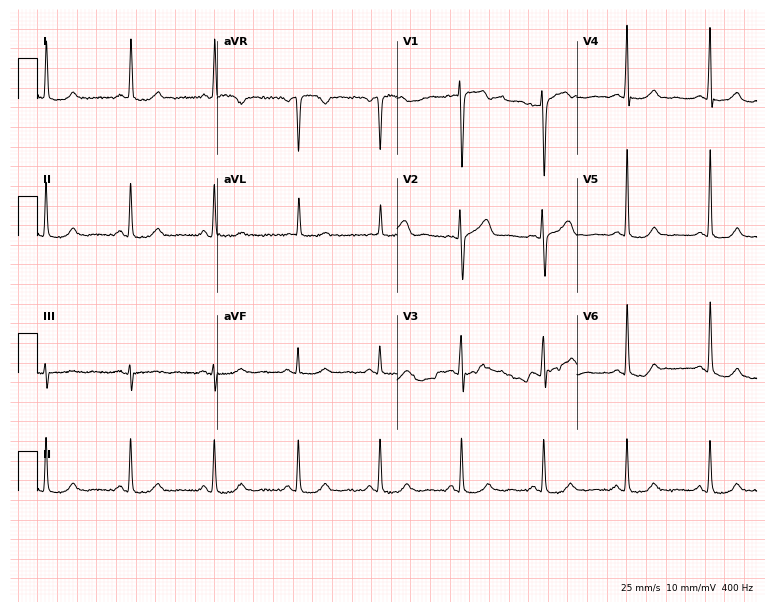
Electrocardiogram (7.3-second recording at 400 Hz), a female patient, 54 years old. Of the six screened findings (first-degree AV block, right bundle branch block, left bundle branch block, sinus bradycardia, atrial fibrillation, sinus tachycardia), none is recorded. Other findings, if any, are not listed.